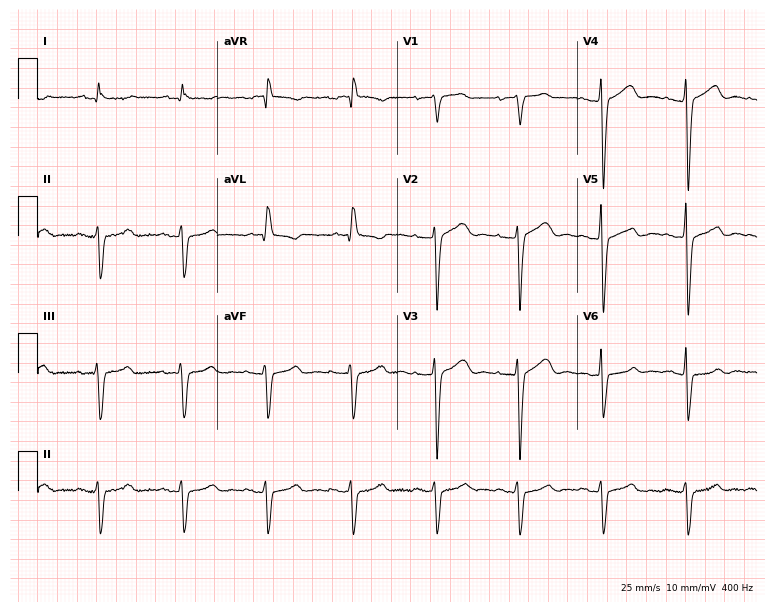
Resting 12-lead electrocardiogram. Patient: a 79-year-old man. None of these six findings is recorded: first-degree AV block, right bundle branch block, left bundle branch block, sinus bradycardia, atrial fibrillation, sinus tachycardia. Other findings, if any, are not listed.